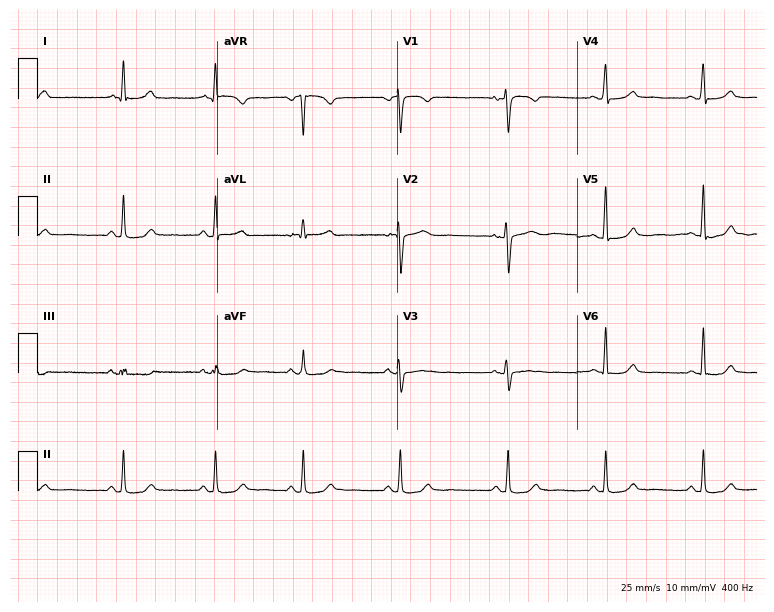
ECG (7.3-second recording at 400 Hz) — a 41-year-old female. Screened for six findings — first-degree AV block, right bundle branch block (RBBB), left bundle branch block (LBBB), sinus bradycardia, atrial fibrillation (AF), sinus tachycardia — none is recorded. Only these six findings were labelled.